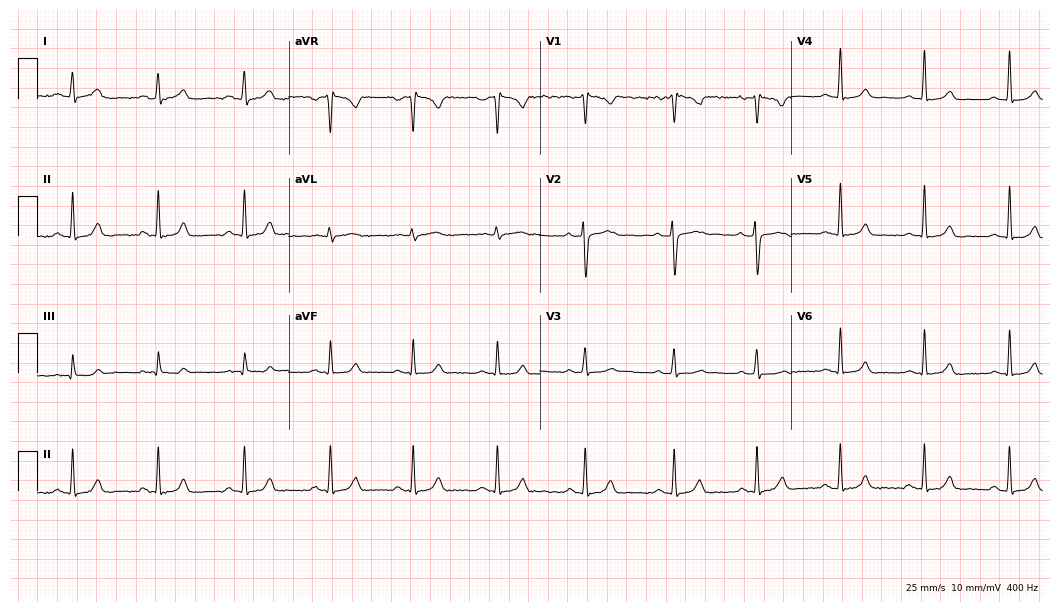
Resting 12-lead electrocardiogram (10.2-second recording at 400 Hz). Patient: a 25-year-old woman. Read as a normal ECG.